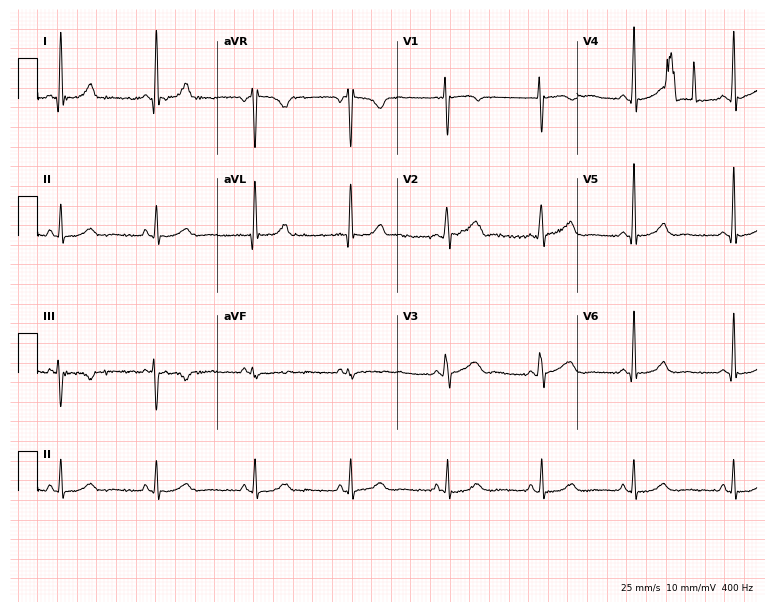
ECG (7.3-second recording at 400 Hz) — a female patient, 42 years old. Screened for six findings — first-degree AV block, right bundle branch block, left bundle branch block, sinus bradycardia, atrial fibrillation, sinus tachycardia — none is recorded. Only these six findings were labelled.